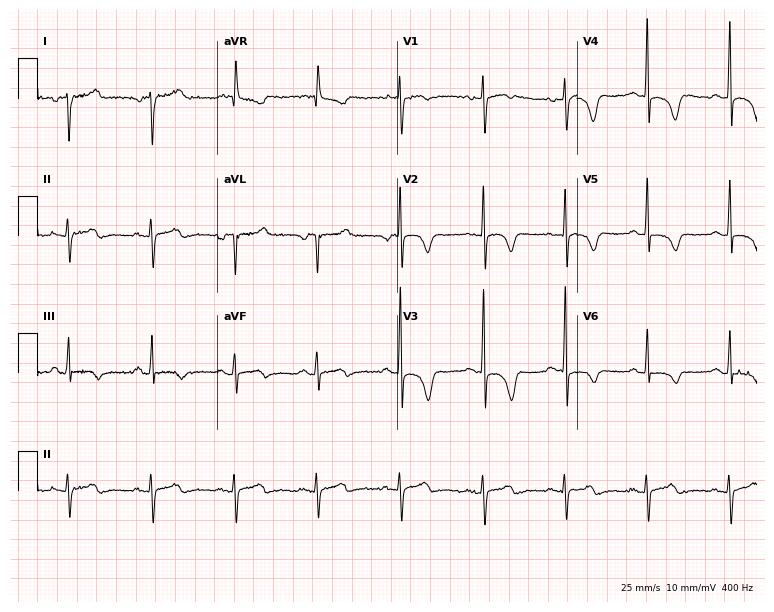
12-lead ECG from a 68-year-old female. No first-degree AV block, right bundle branch block, left bundle branch block, sinus bradycardia, atrial fibrillation or sinus tachycardia recorded for this tracing. Only these six findings were labelled.